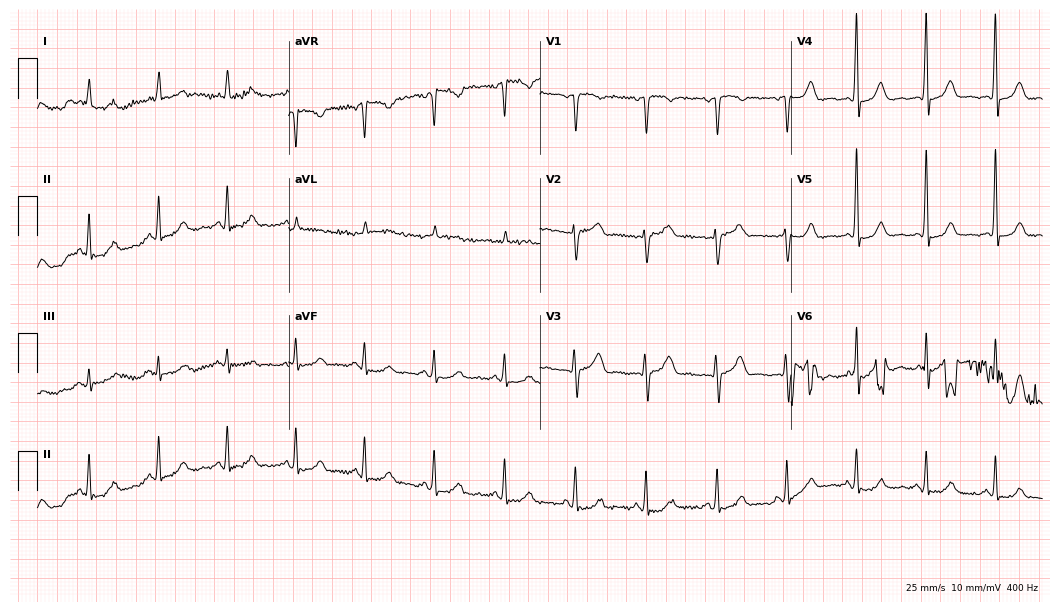
ECG (10.2-second recording at 400 Hz) — a 54-year-old female. Labelled as a normal ECG.